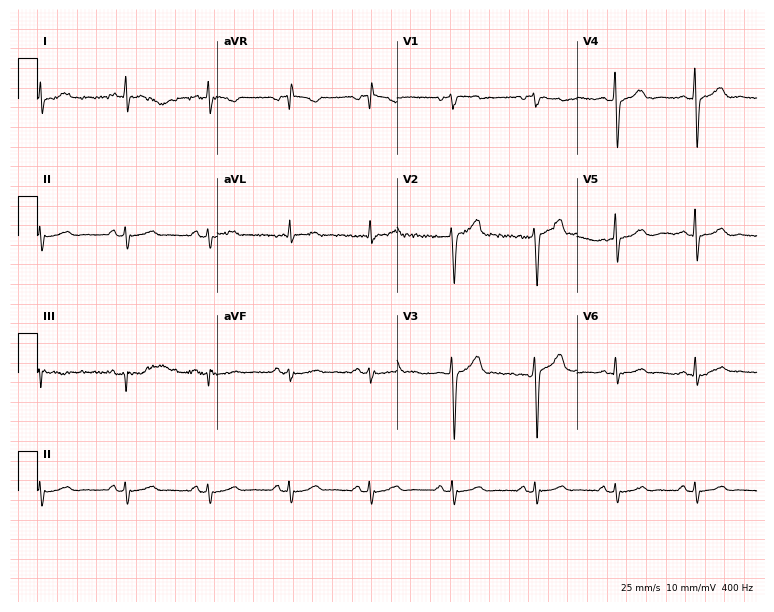
Resting 12-lead electrocardiogram. Patient: a man, 44 years old. None of these six findings is recorded: first-degree AV block, right bundle branch block, left bundle branch block, sinus bradycardia, atrial fibrillation, sinus tachycardia.